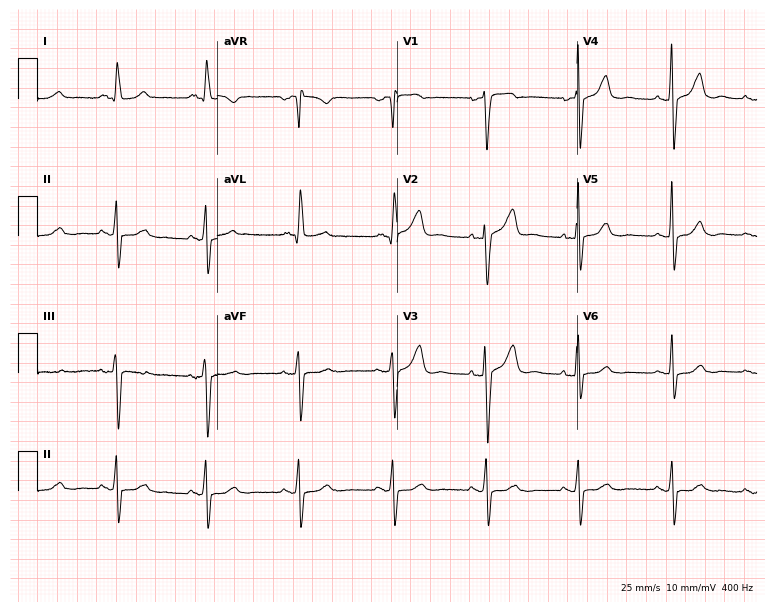
Resting 12-lead electrocardiogram. Patient: a 57-year-old woman. Read as a normal ECG.